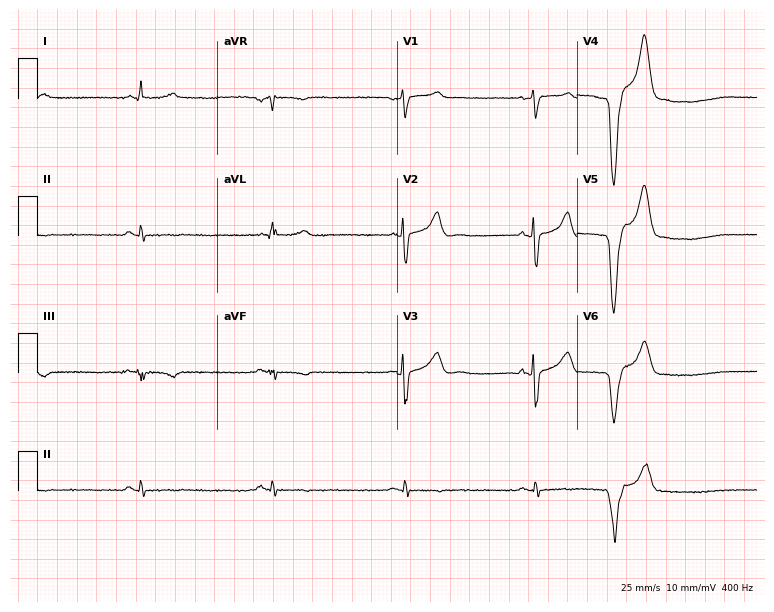
Standard 12-lead ECG recorded from a male, 57 years old. The tracing shows sinus bradycardia (a sinus rate of 50 beats per minute or less).